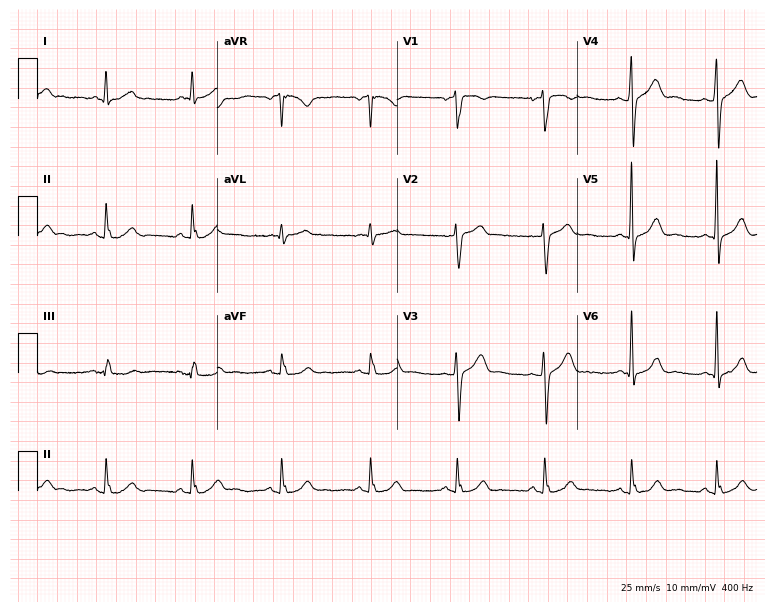
Resting 12-lead electrocardiogram (7.3-second recording at 400 Hz). Patient: a 52-year-old male. Read as a normal ECG.